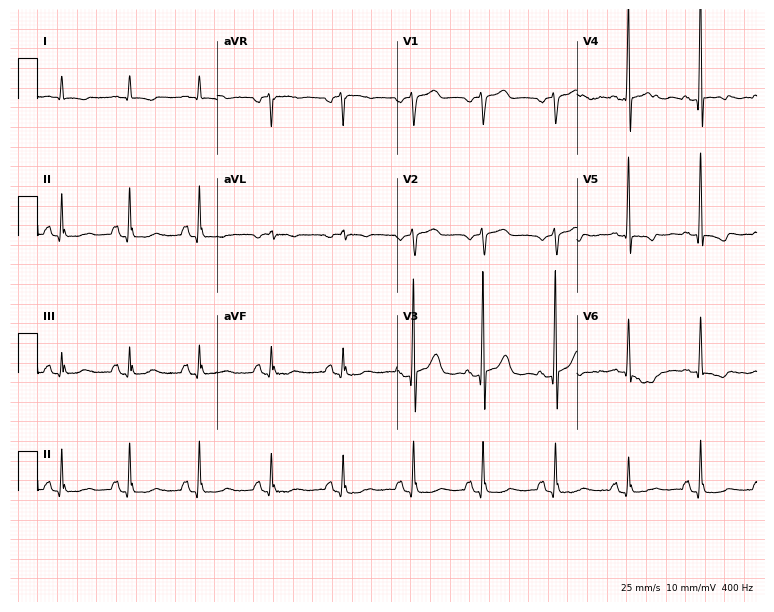
Standard 12-lead ECG recorded from a male, 56 years old (7.3-second recording at 400 Hz). None of these six findings is recorded: first-degree AV block, right bundle branch block, left bundle branch block, sinus bradycardia, atrial fibrillation, sinus tachycardia.